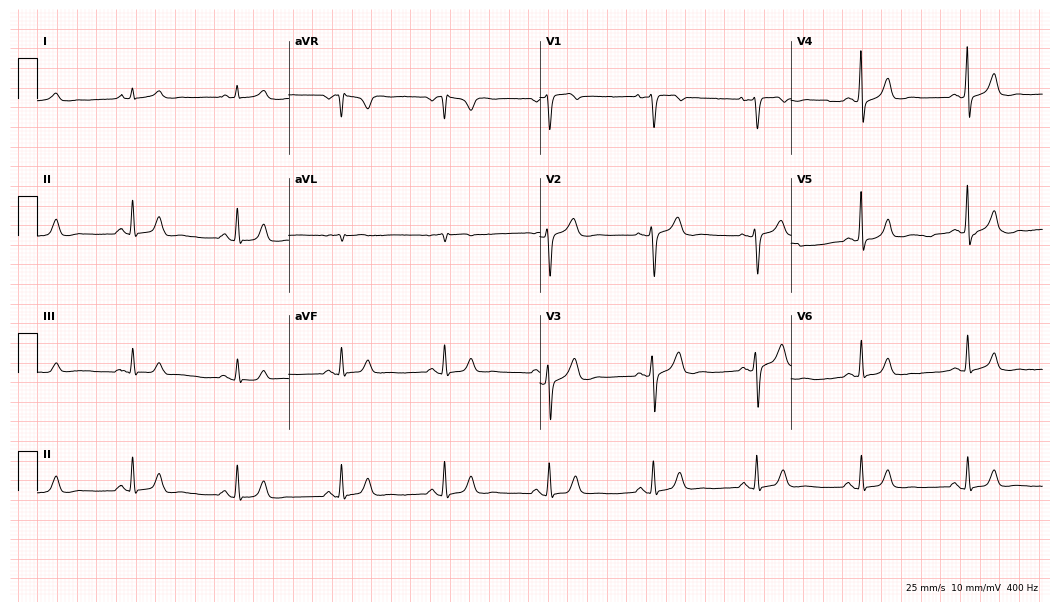
ECG (10.2-second recording at 400 Hz) — a man, 61 years old. Labelled as a normal ECG.